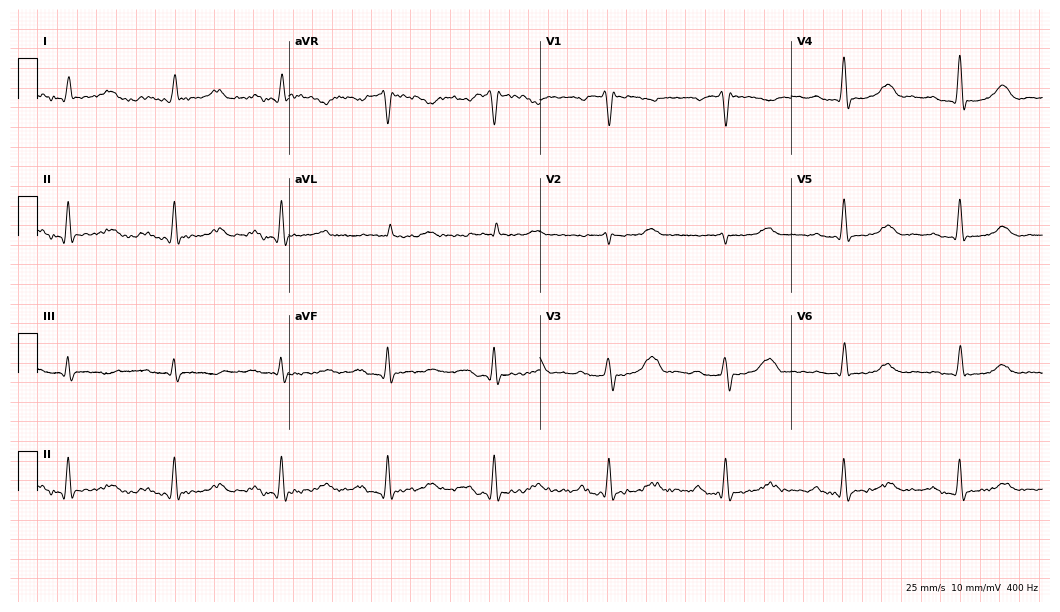
ECG — a female, 37 years old. Screened for six findings — first-degree AV block, right bundle branch block, left bundle branch block, sinus bradycardia, atrial fibrillation, sinus tachycardia — none is recorded.